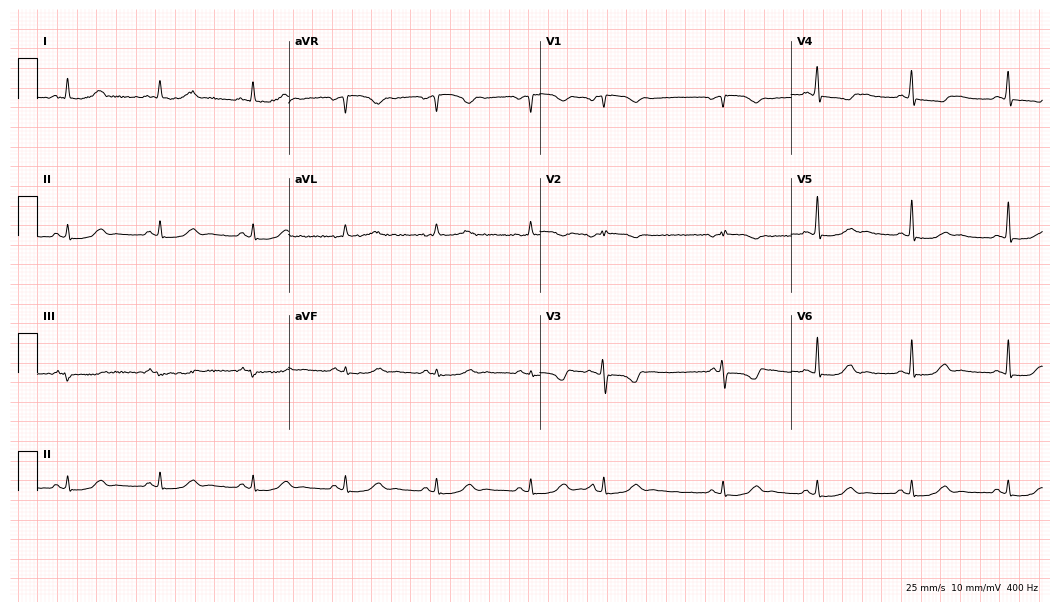
Resting 12-lead electrocardiogram (10.2-second recording at 400 Hz). Patient: a 39-year-old female. Read as a normal ECG.